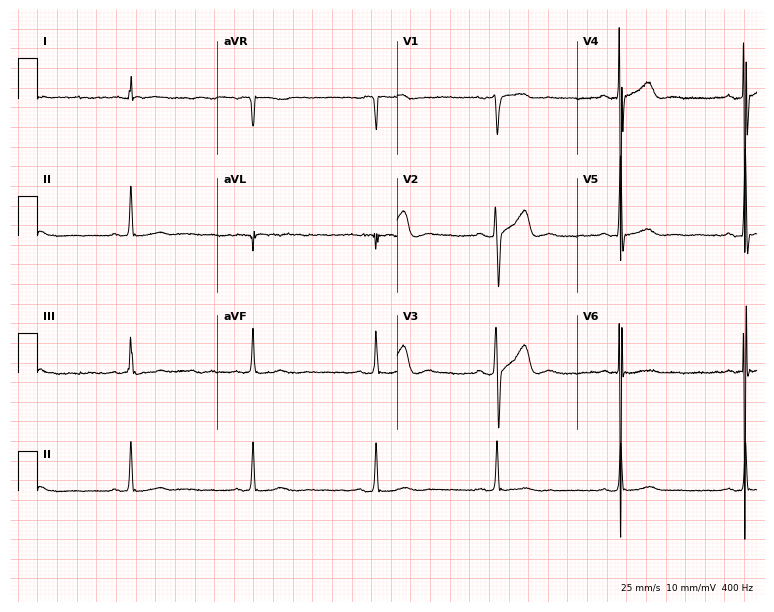
ECG (7.3-second recording at 400 Hz) — a 58-year-old male. Findings include sinus bradycardia (a sinus rate of 50 beats per minute or less).